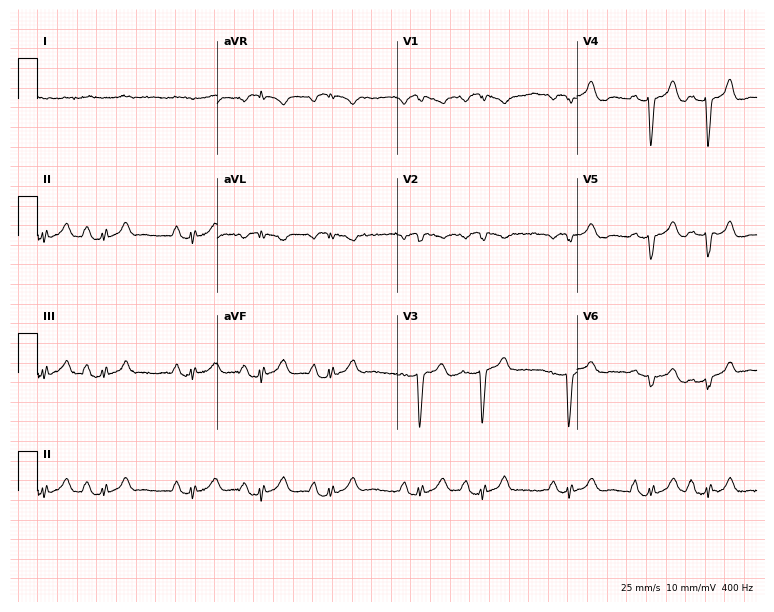
12-lead ECG from a 77-year-old man. Screened for six findings — first-degree AV block, right bundle branch block (RBBB), left bundle branch block (LBBB), sinus bradycardia, atrial fibrillation (AF), sinus tachycardia — none is recorded.